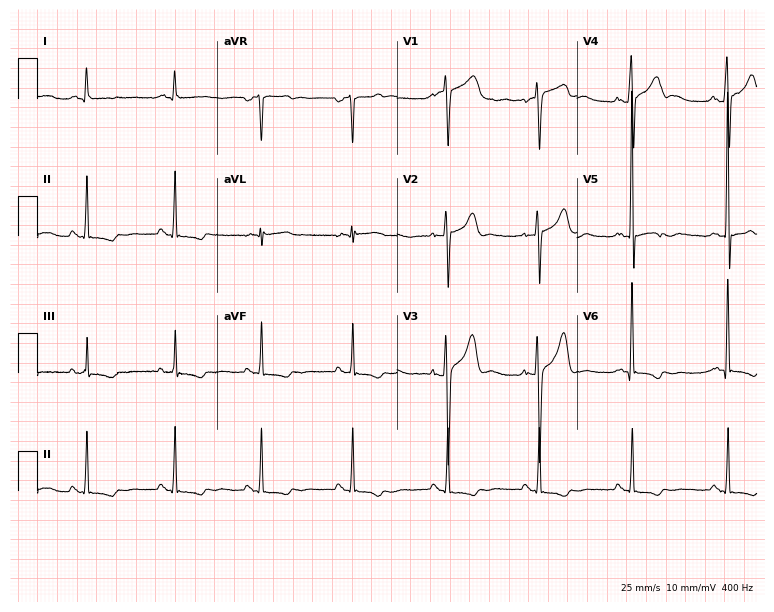
Resting 12-lead electrocardiogram. Patient: a 45-year-old male. None of these six findings is recorded: first-degree AV block, right bundle branch block, left bundle branch block, sinus bradycardia, atrial fibrillation, sinus tachycardia. Other findings, if any, are not listed.